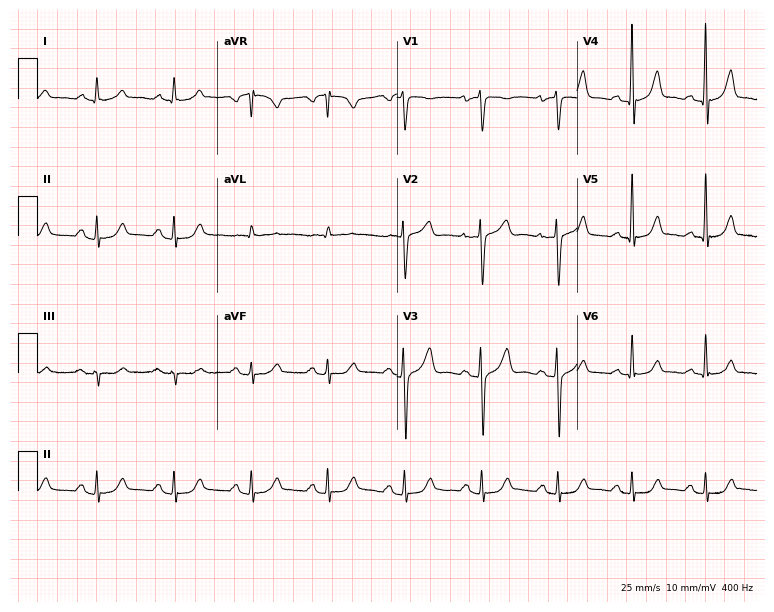
Standard 12-lead ECG recorded from a man, 50 years old (7.3-second recording at 400 Hz). Read as a normal ECG.